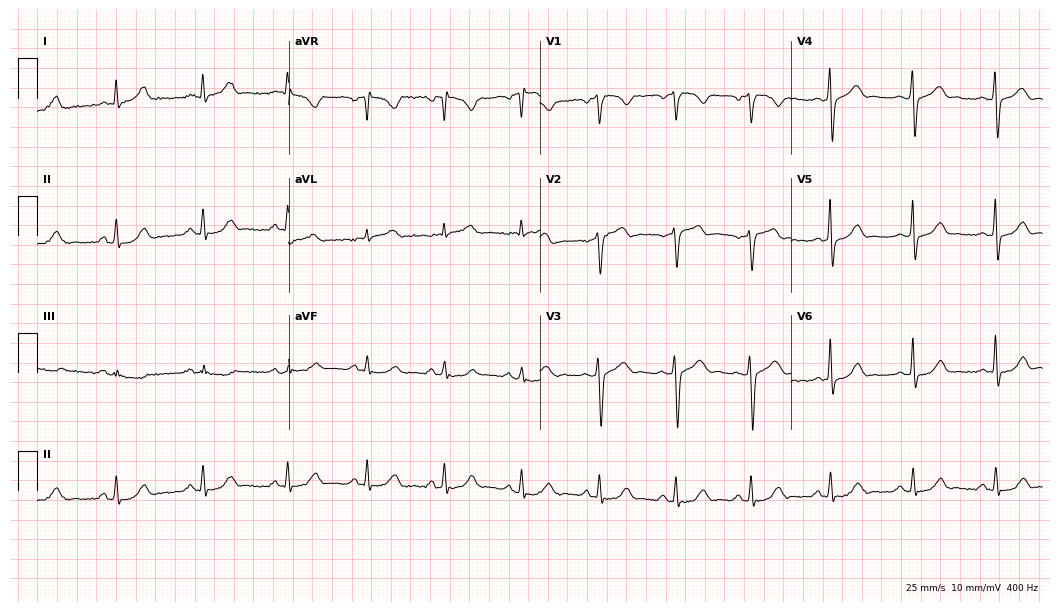
Resting 12-lead electrocardiogram. Patient: a male, 45 years old. Read as a normal ECG.